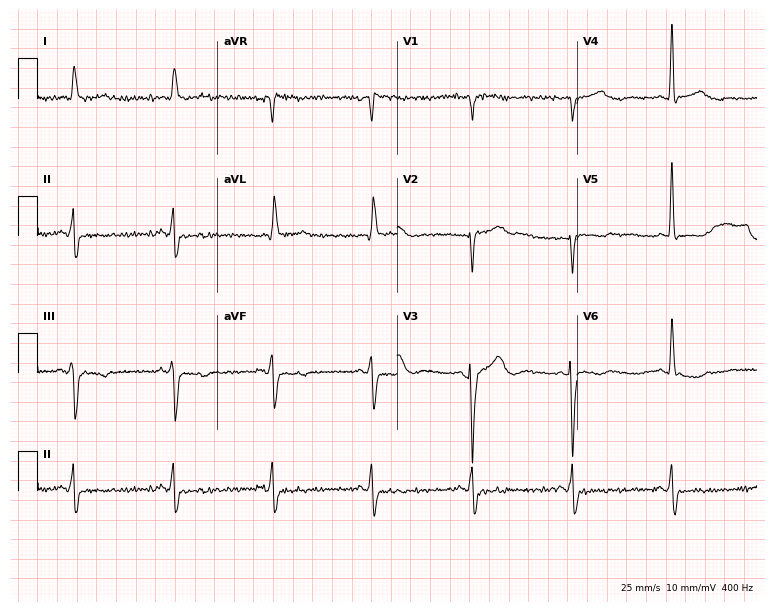
Resting 12-lead electrocardiogram. Patient: a male, 85 years old. None of these six findings is recorded: first-degree AV block, right bundle branch block, left bundle branch block, sinus bradycardia, atrial fibrillation, sinus tachycardia.